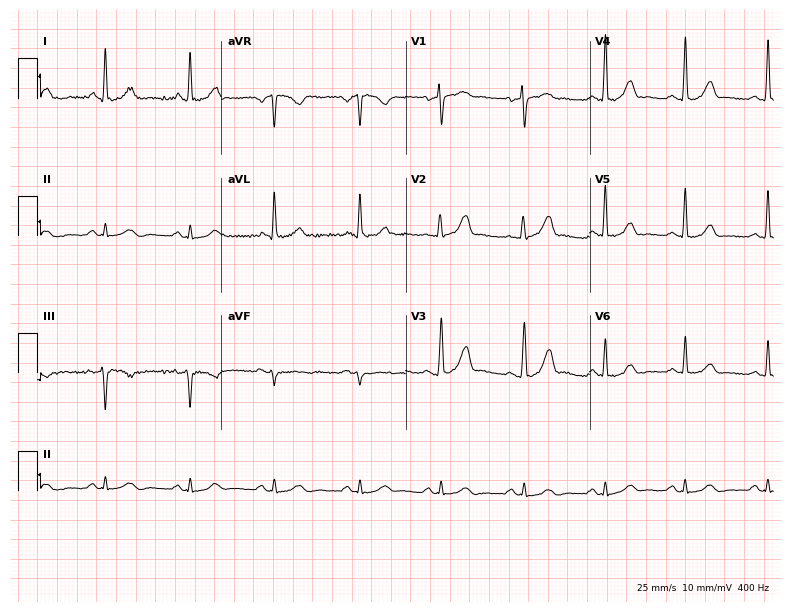
ECG (7.5-second recording at 400 Hz) — a 39-year-old woman. Labelled as a normal ECG.